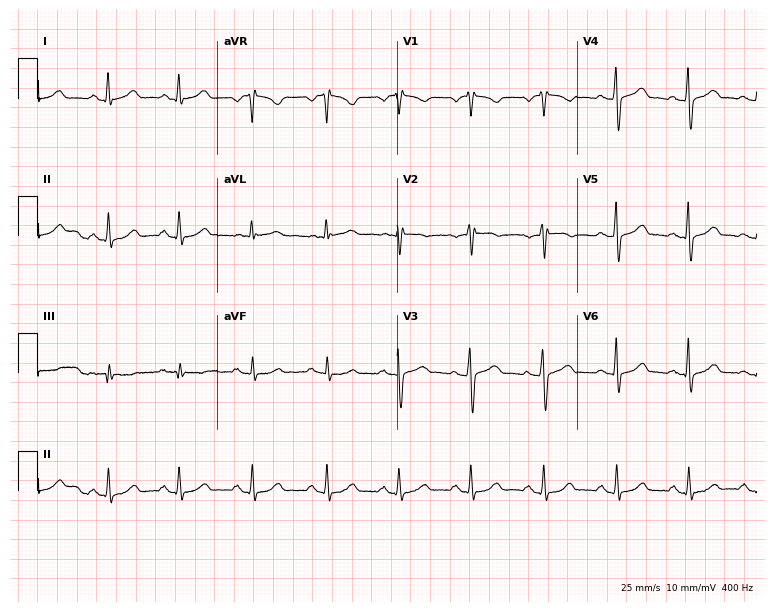
Resting 12-lead electrocardiogram. Patient: a 41-year-old female. Read as a normal ECG.